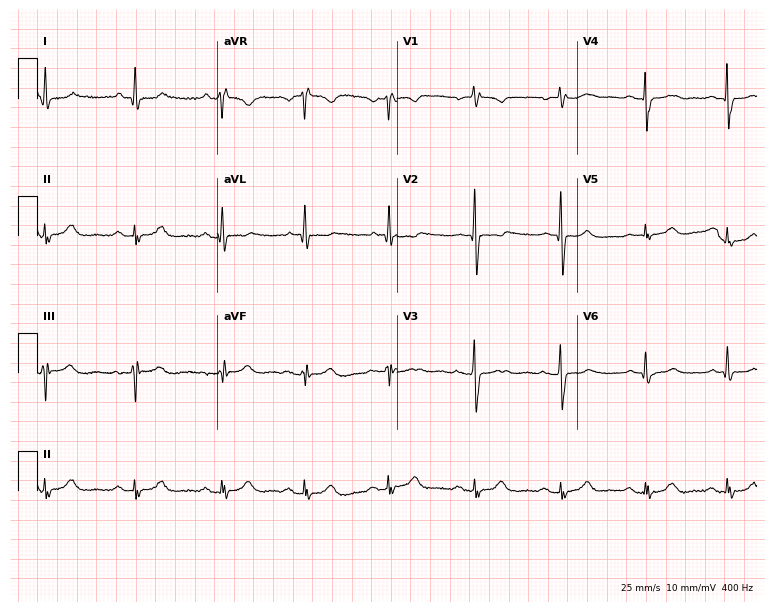
Electrocardiogram, a 68-year-old female. Of the six screened findings (first-degree AV block, right bundle branch block, left bundle branch block, sinus bradycardia, atrial fibrillation, sinus tachycardia), none is recorded.